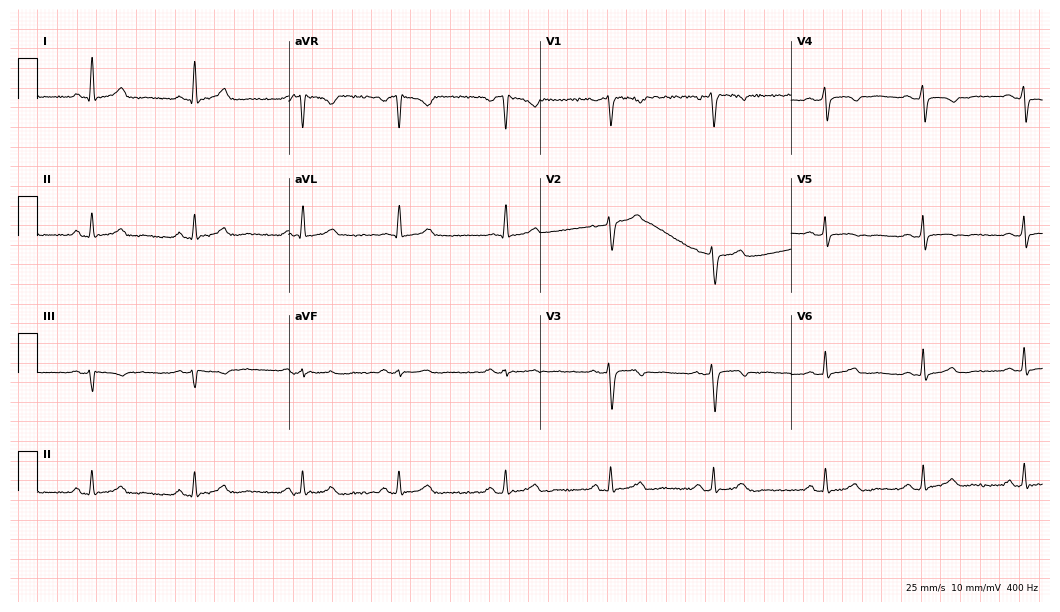
Standard 12-lead ECG recorded from a 50-year-old female patient. None of these six findings is recorded: first-degree AV block, right bundle branch block, left bundle branch block, sinus bradycardia, atrial fibrillation, sinus tachycardia.